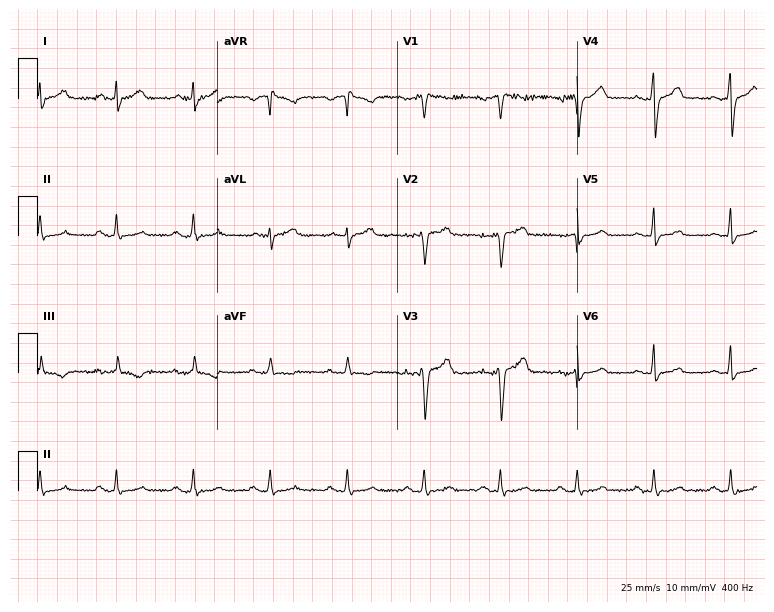
12-lead ECG from a 53-year-old man (7.3-second recording at 400 Hz). No first-degree AV block, right bundle branch block, left bundle branch block, sinus bradycardia, atrial fibrillation or sinus tachycardia recorded for this tracing. Other findings, if any, are not listed.